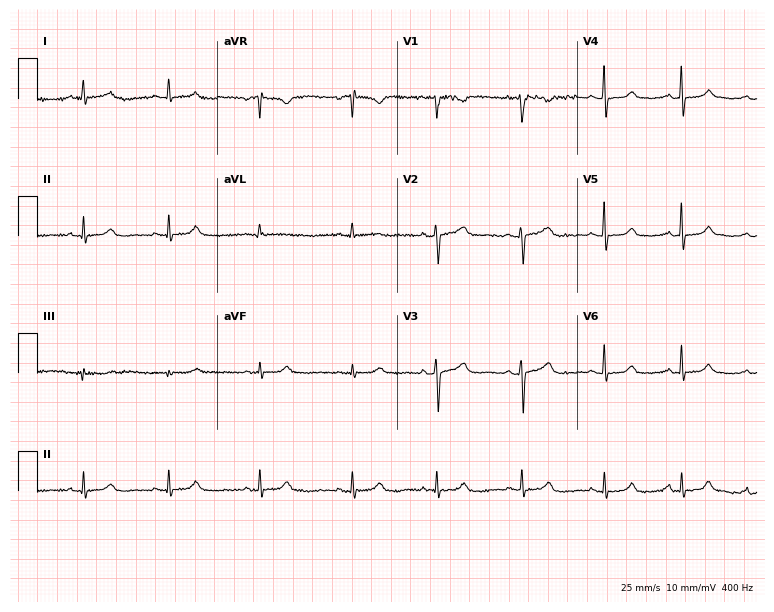
12-lead ECG (7.3-second recording at 400 Hz) from a female, 46 years old. Labelled as a normal ECG.